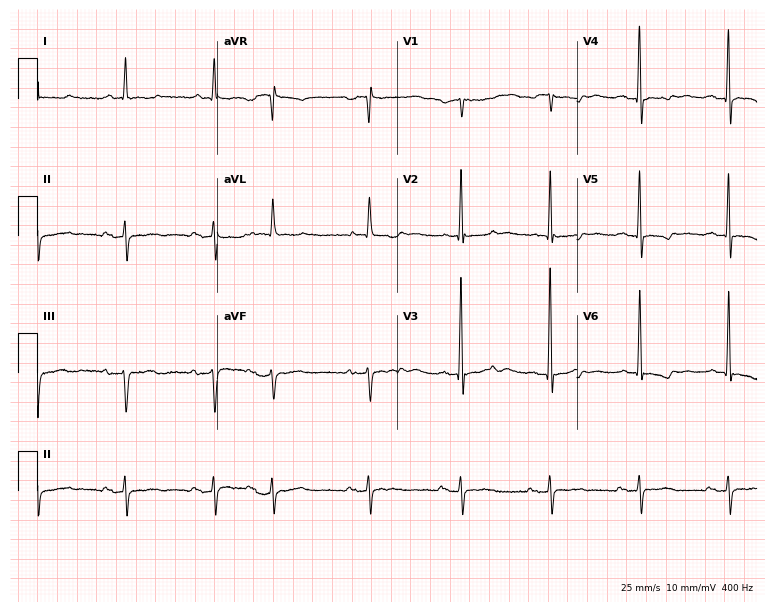
12-lead ECG from a male patient, 85 years old. Screened for six findings — first-degree AV block, right bundle branch block, left bundle branch block, sinus bradycardia, atrial fibrillation, sinus tachycardia — none is recorded. Findings outside these six are not listed.